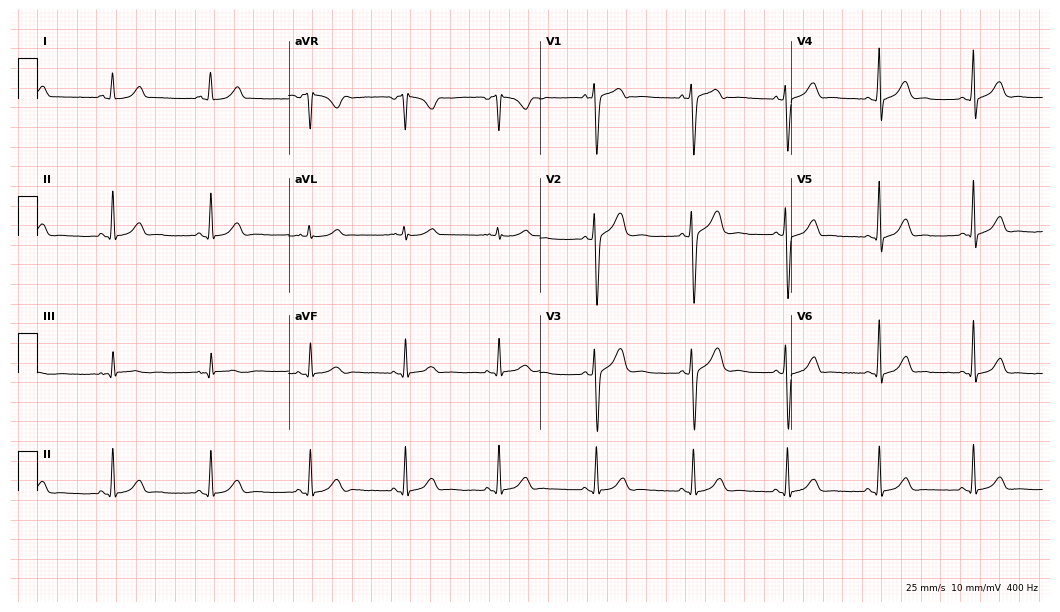
Resting 12-lead electrocardiogram (10.2-second recording at 400 Hz). Patient: a 24-year-old female. Read as a normal ECG.